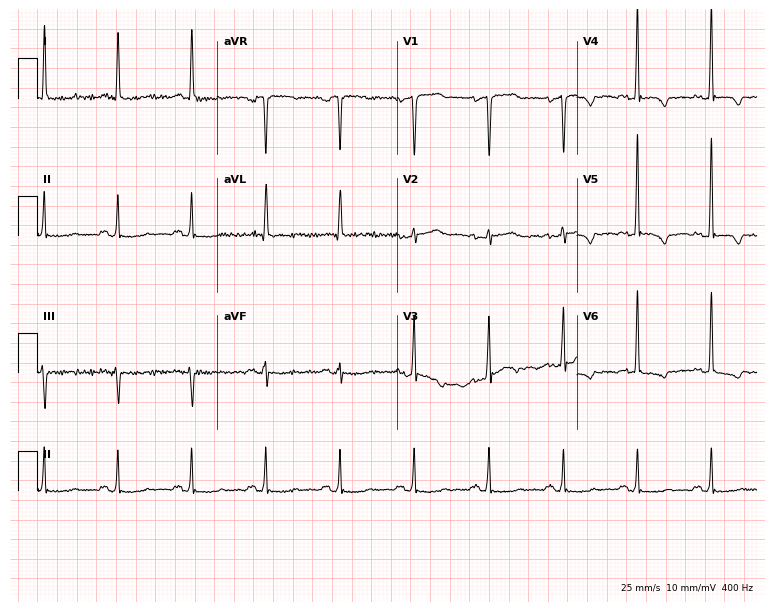
Standard 12-lead ECG recorded from a female, 62 years old. None of these six findings is recorded: first-degree AV block, right bundle branch block, left bundle branch block, sinus bradycardia, atrial fibrillation, sinus tachycardia.